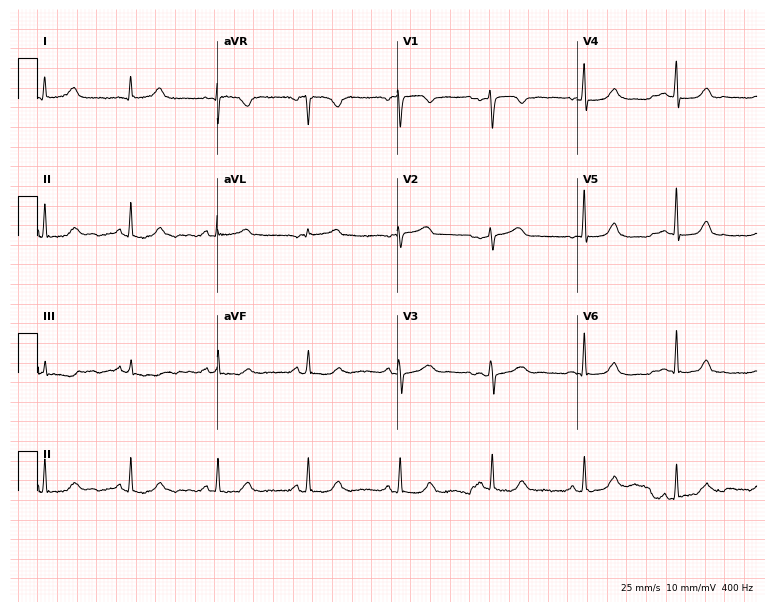
12-lead ECG (7.3-second recording at 400 Hz) from a woman, 54 years old. Labelled as a normal ECG.